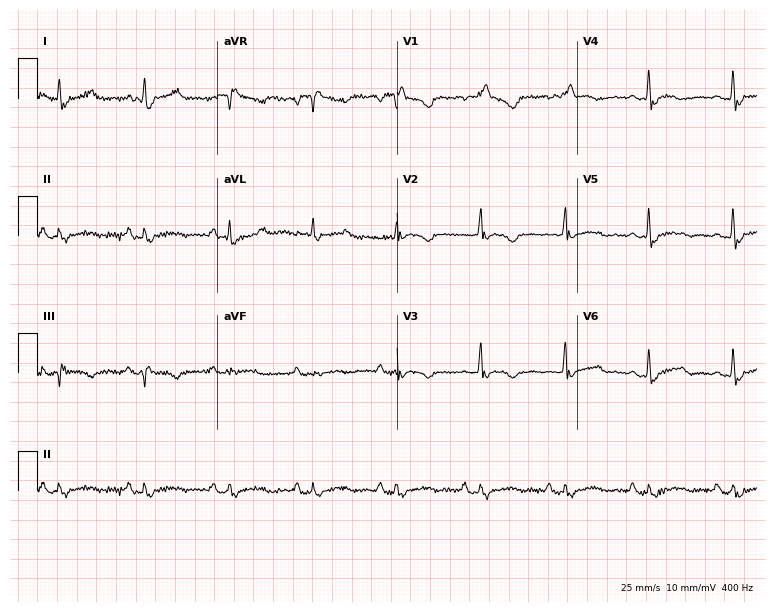
Electrocardiogram (7.3-second recording at 400 Hz), a 47-year-old female patient. Interpretation includes right bundle branch block.